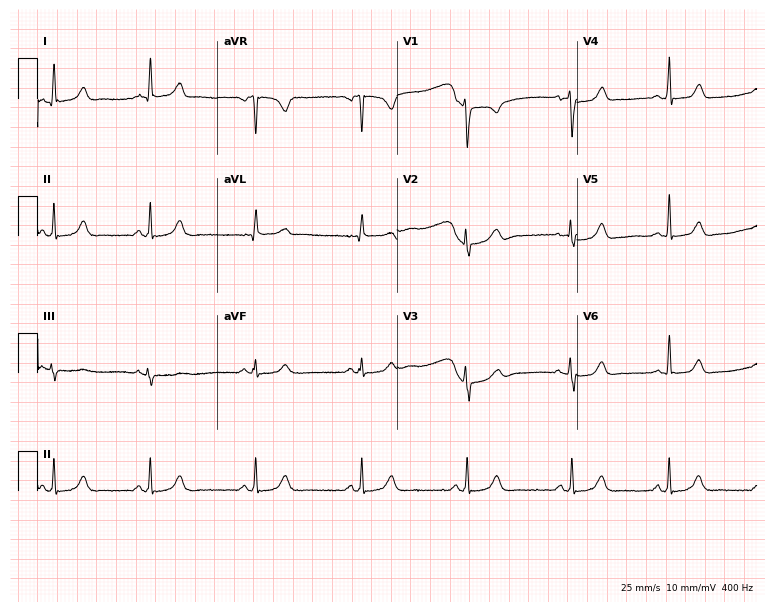
12-lead ECG from a female, 47 years old (7.3-second recording at 400 Hz). No first-degree AV block, right bundle branch block, left bundle branch block, sinus bradycardia, atrial fibrillation or sinus tachycardia recorded for this tracing. Only these six findings were labelled.